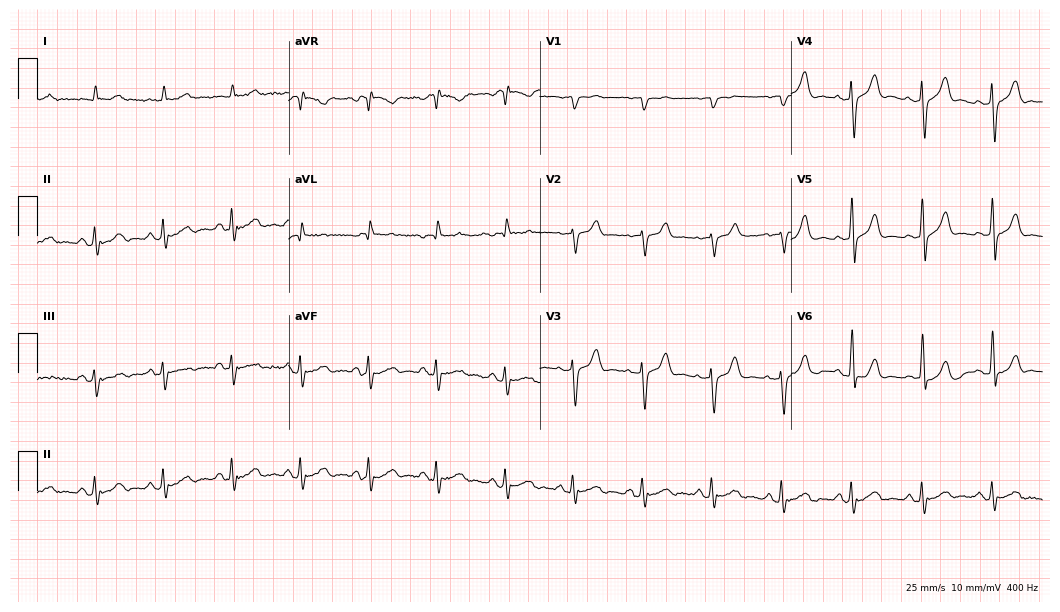
ECG — an 82-year-old man. Labelled as a normal ECG.